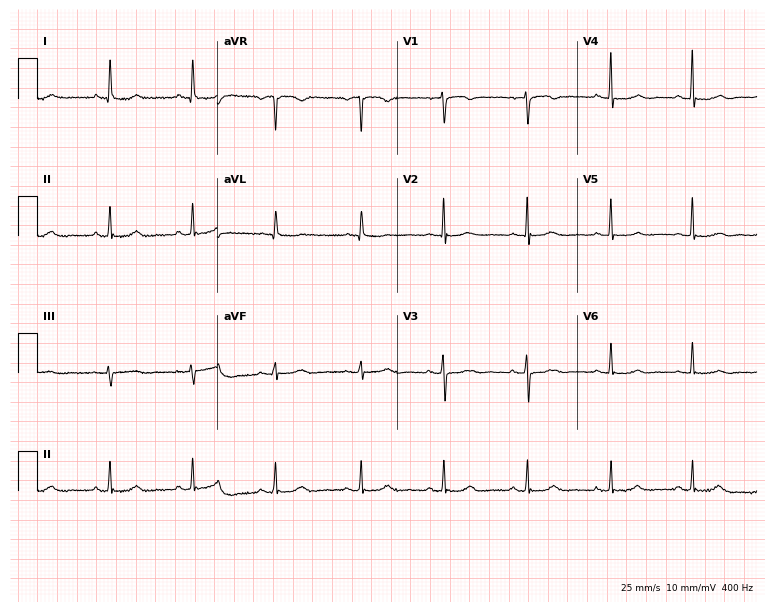
Standard 12-lead ECG recorded from a 77-year-old female. Read as a normal ECG.